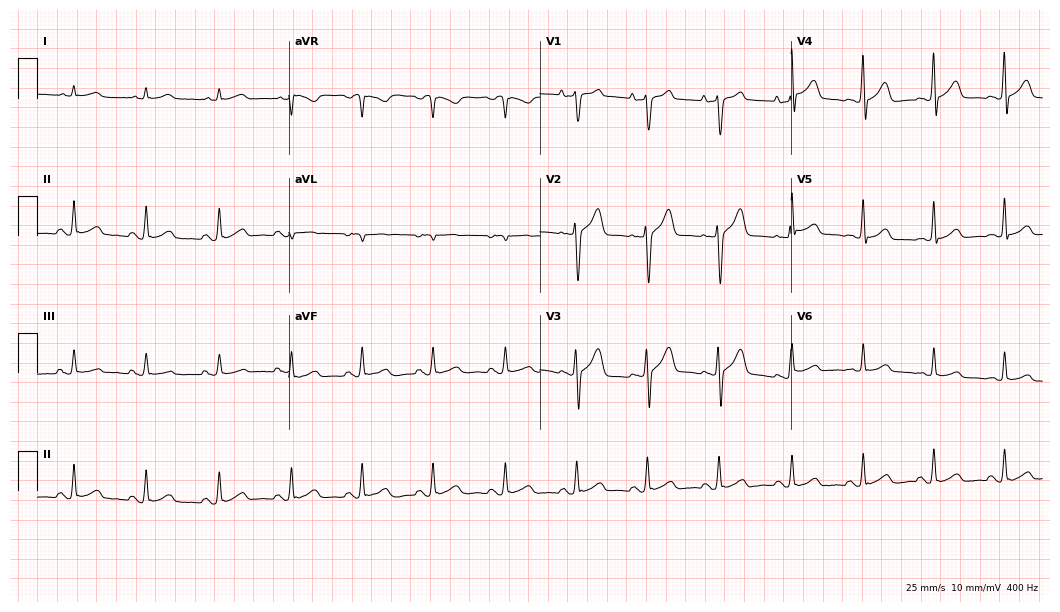
Standard 12-lead ECG recorded from a male patient, 52 years old. None of these six findings is recorded: first-degree AV block, right bundle branch block (RBBB), left bundle branch block (LBBB), sinus bradycardia, atrial fibrillation (AF), sinus tachycardia.